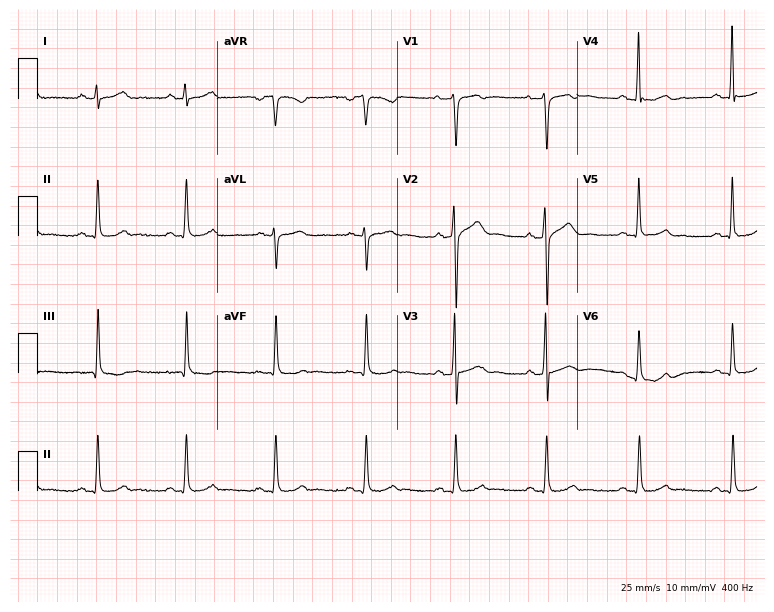
ECG (7.3-second recording at 400 Hz) — a male patient, 43 years old. Labelled as a normal ECG.